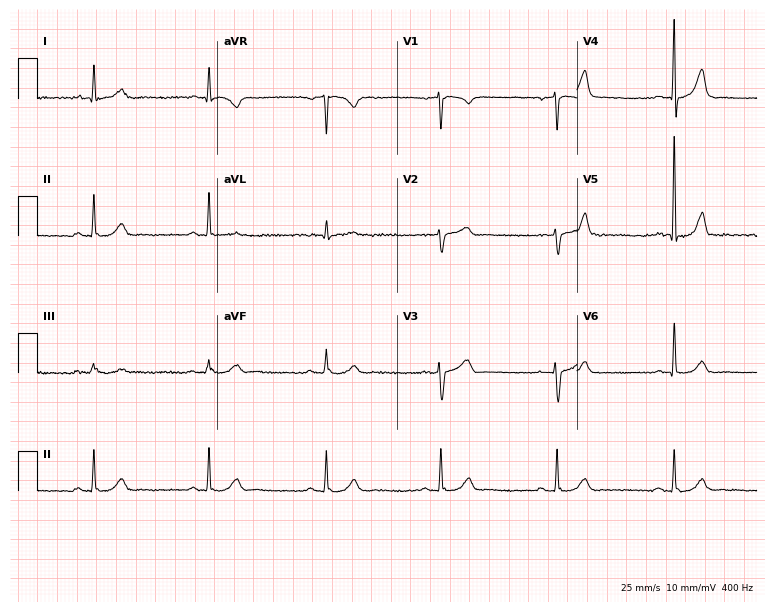
Electrocardiogram (7.3-second recording at 400 Hz), a male patient, 64 years old. Of the six screened findings (first-degree AV block, right bundle branch block, left bundle branch block, sinus bradycardia, atrial fibrillation, sinus tachycardia), none is recorded.